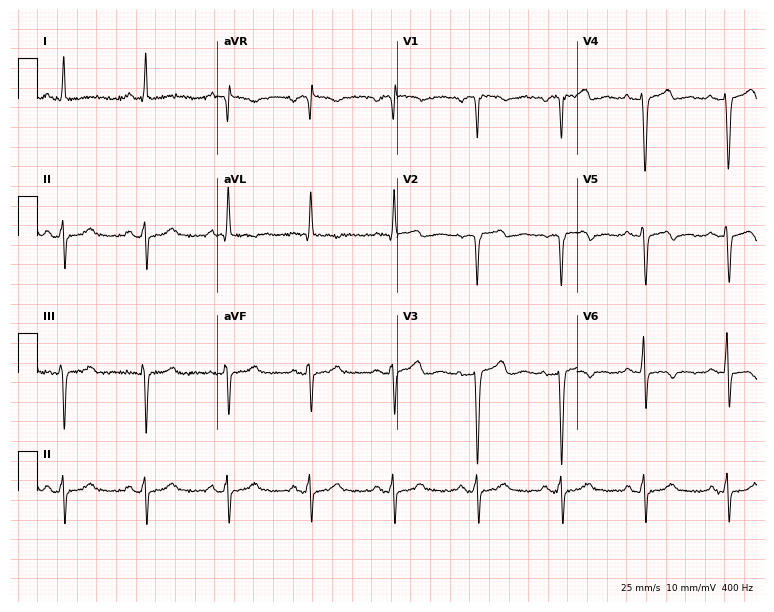
Standard 12-lead ECG recorded from a 69-year-old female patient. None of these six findings is recorded: first-degree AV block, right bundle branch block, left bundle branch block, sinus bradycardia, atrial fibrillation, sinus tachycardia. Only these six findings were labelled.